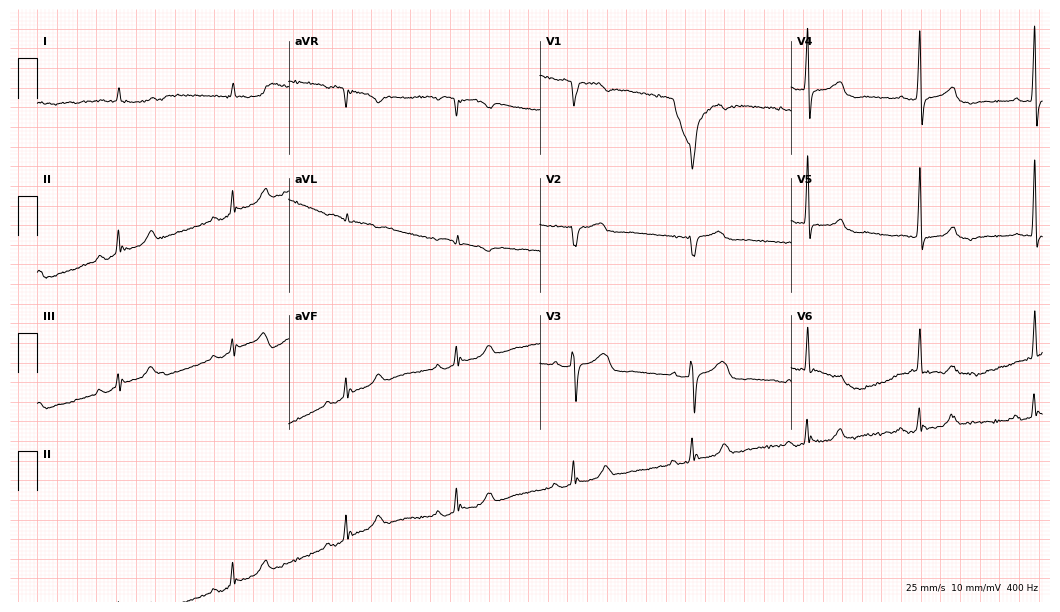
Electrocardiogram (10.2-second recording at 400 Hz), a man, 36 years old. Of the six screened findings (first-degree AV block, right bundle branch block (RBBB), left bundle branch block (LBBB), sinus bradycardia, atrial fibrillation (AF), sinus tachycardia), none is recorded.